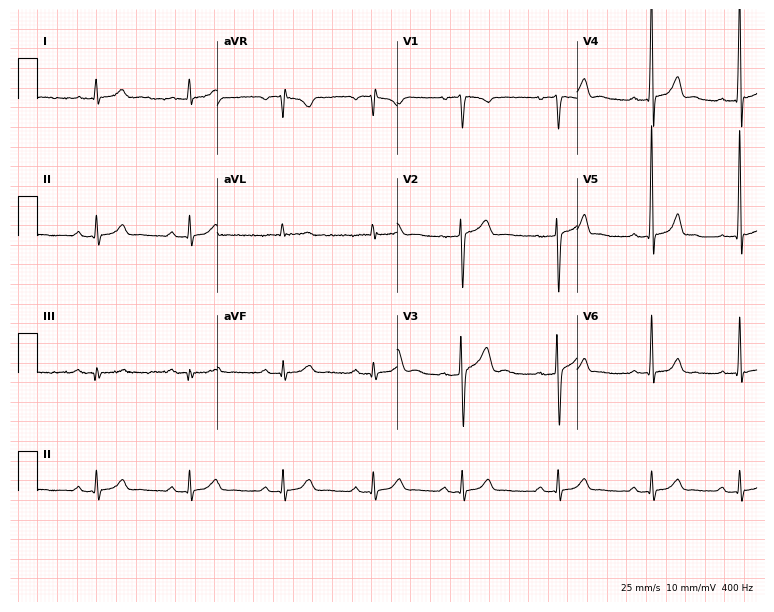
ECG (7.3-second recording at 400 Hz) — a 29-year-old male. Labelled as a normal ECG.